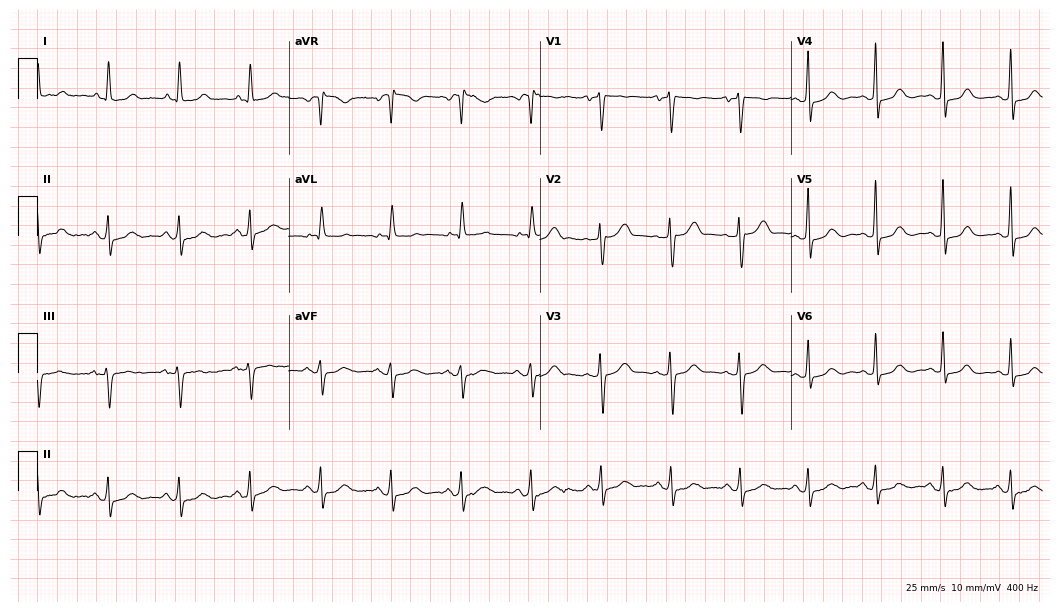
ECG — a female patient, 68 years old. Labelled as a normal ECG.